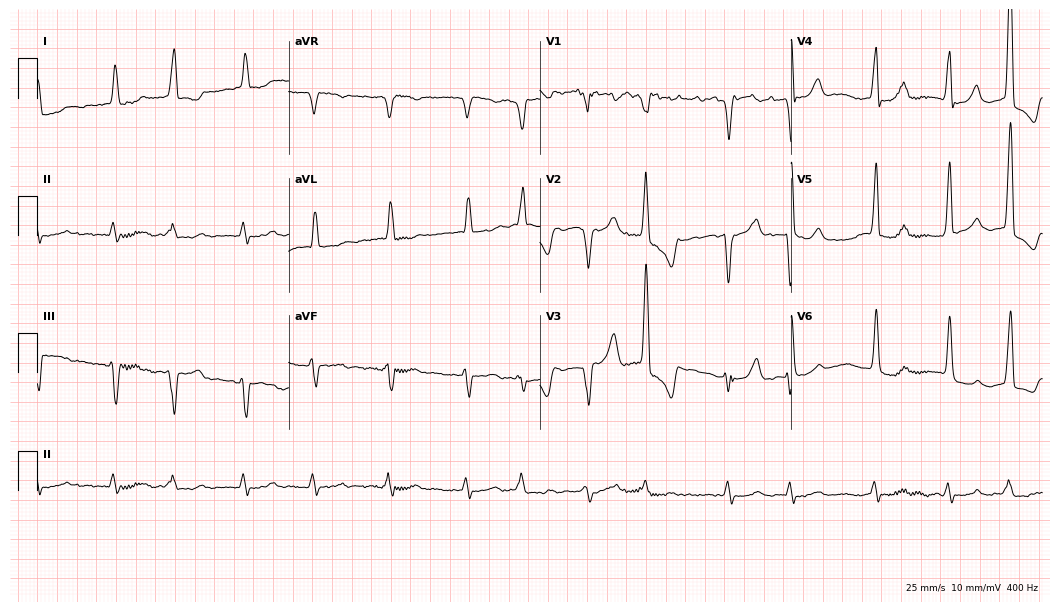
12-lead ECG from a woman, 82 years old (10.2-second recording at 400 Hz). Shows atrial fibrillation.